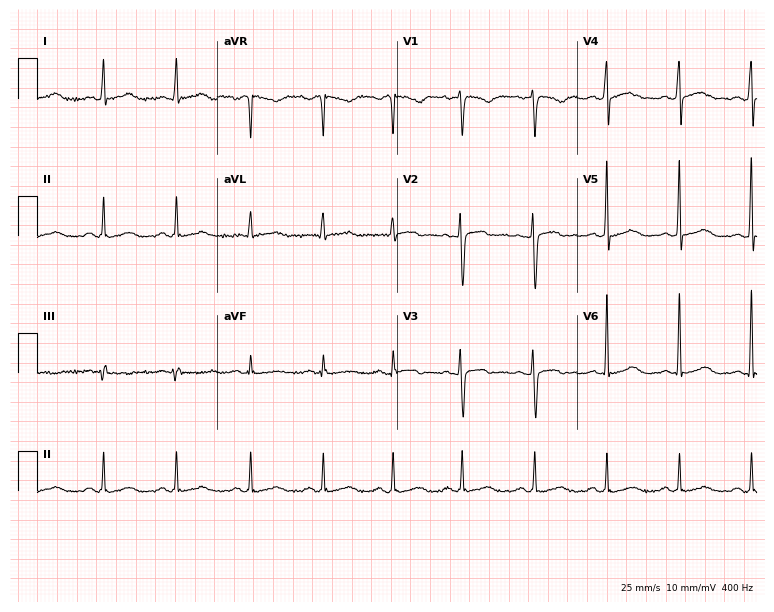
Resting 12-lead electrocardiogram (7.3-second recording at 400 Hz). Patient: a 50-year-old female. Read as a normal ECG.